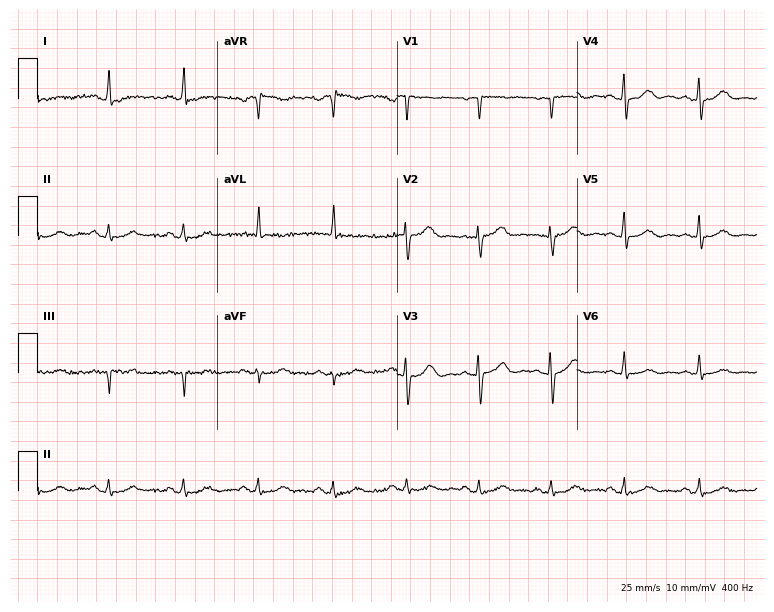
ECG — a woman, 65 years old. Screened for six findings — first-degree AV block, right bundle branch block (RBBB), left bundle branch block (LBBB), sinus bradycardia, atrial fibrillation (AF), sinus tachycardia — none is recorded. Findings outside these six are not listed.